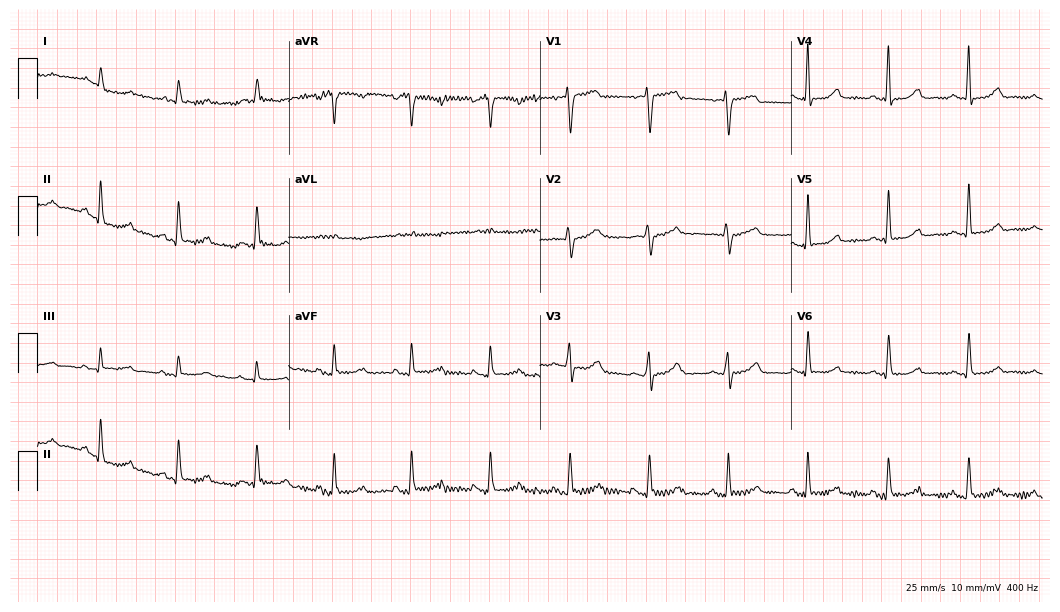
ECG (10.2-second recording at 400 Hz) — a 56-year-old female. Labelled as a normal ECG.